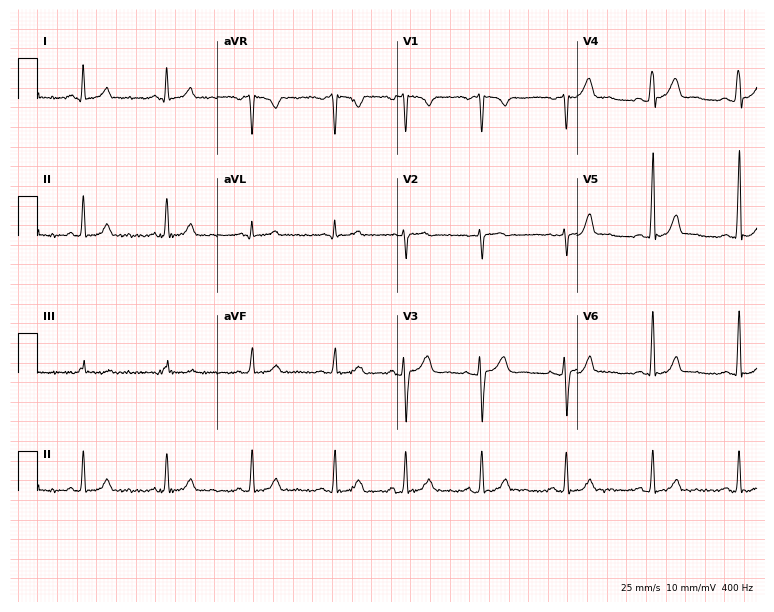
ECG (7.3-second recording at 400 Hz) — a female, 26 years old. Screened for six findings — first-degree AV block, right bundle branch block, left bundle branch block, sinus bradycardia, atrial fibrillation, sinus tachycardia — none is recorded.